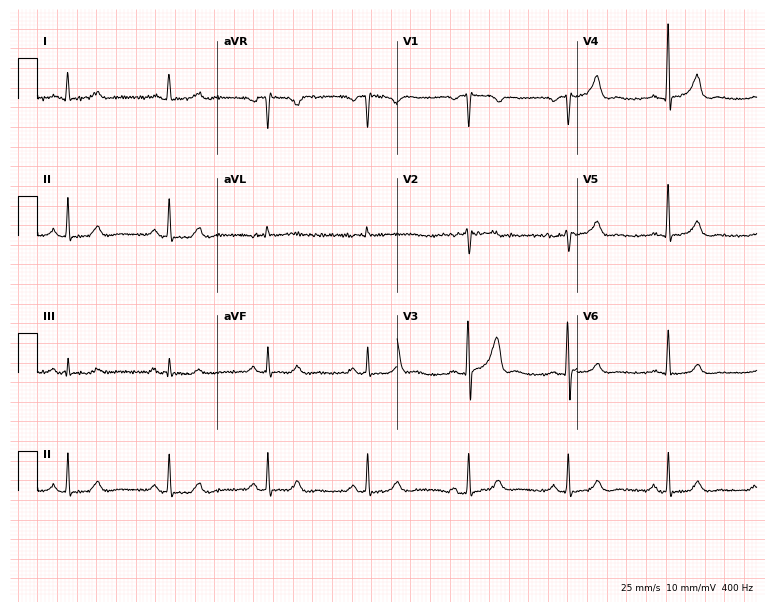
Electrocardiogram (7.3-second recording at 400 Hz), a 62-year-old male patient. Interpretation includes sinus bradycardia (a sinus rate of 50 beats per minute or less).